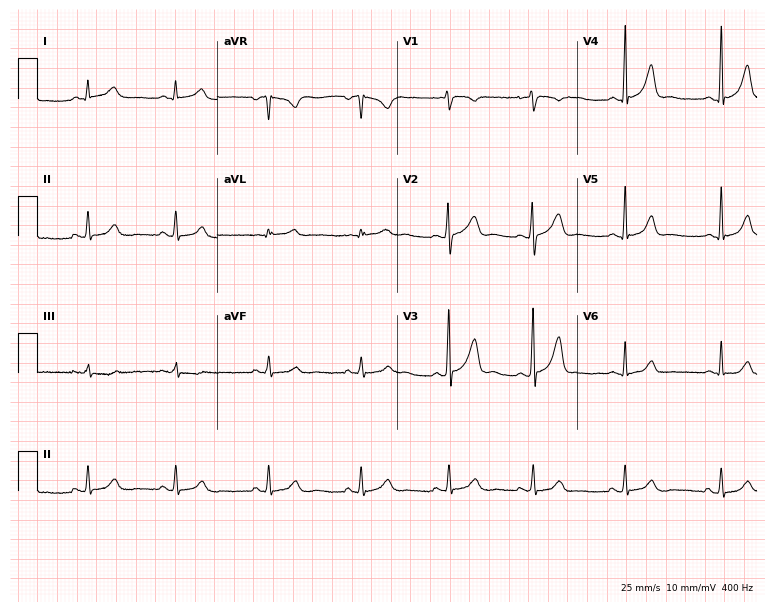
12-lead ECG (7.3-second recording at 400 Hz) from a female patient, 34 years old. Labelled as a normal ECG.